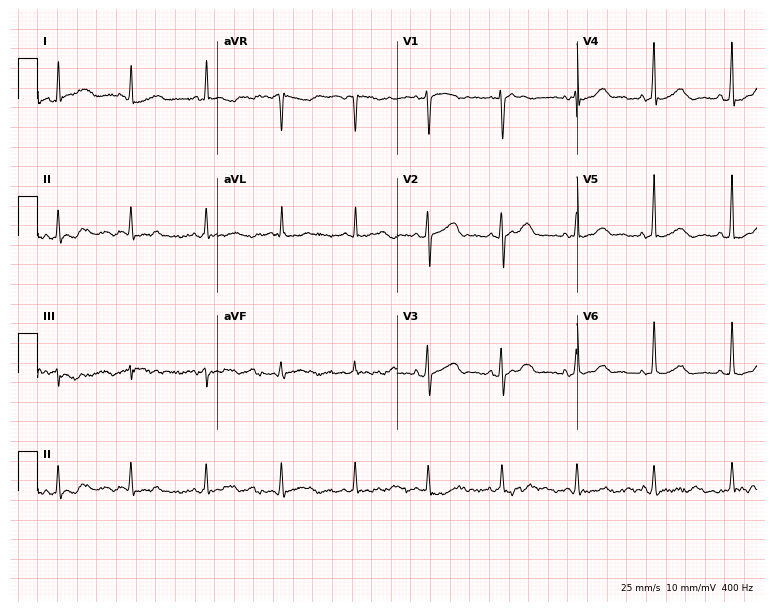
Resting 12-lead electrocardiogram. Patient: a 56-year-old woman. Read as a normal ECG.